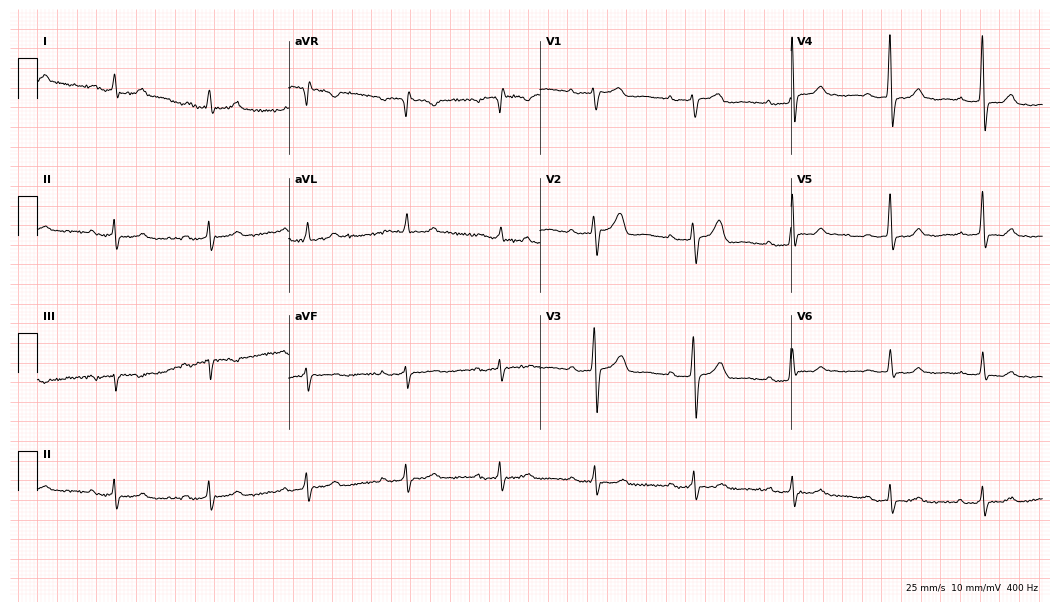
Standard 12-lead ECG recorded from a female, 52 years old (10.2-second recording at 400 Hz). The tracing shows first-degree AV block.